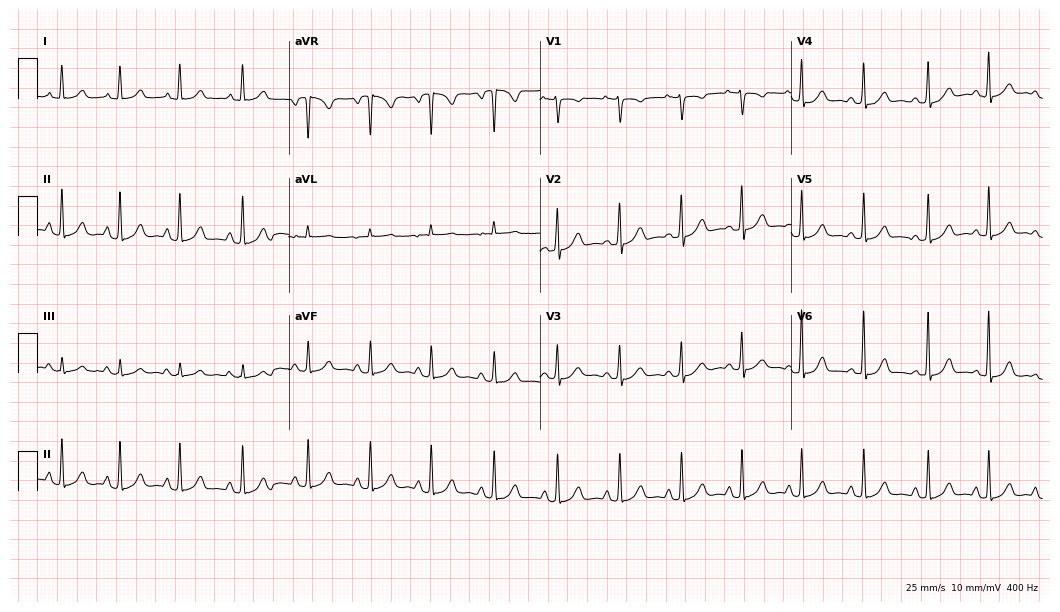
ECG (10.2-second recording at 400 Hz) — a woman, 20 years old. Labelled as a normal ECG.